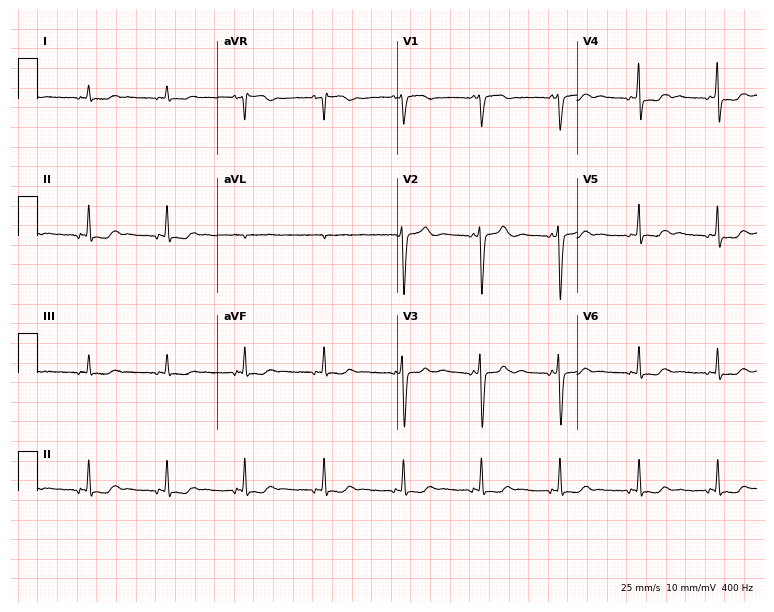
12-lead ECG from a female patient, 27 years old. No first-degree AV block, right bundle branch block, left bundle branch block, sinus bradycardia, atrial fibrillation or sinus tachycardia recorded for this tracing.